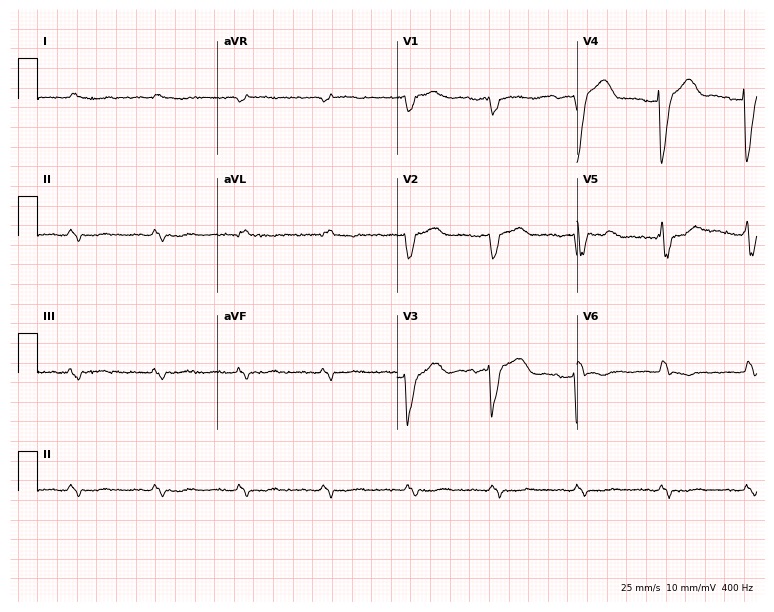
Resting 12-lead electrocardiogram (7.3-second recording at 400 Hz). Patient: a male, 83 years old. None of these six findings is recorded: first-degree AV block, right bundle branch block, left bundle branch block, sinus bradycardia, atrial fibrillation, sinus tachycardia.